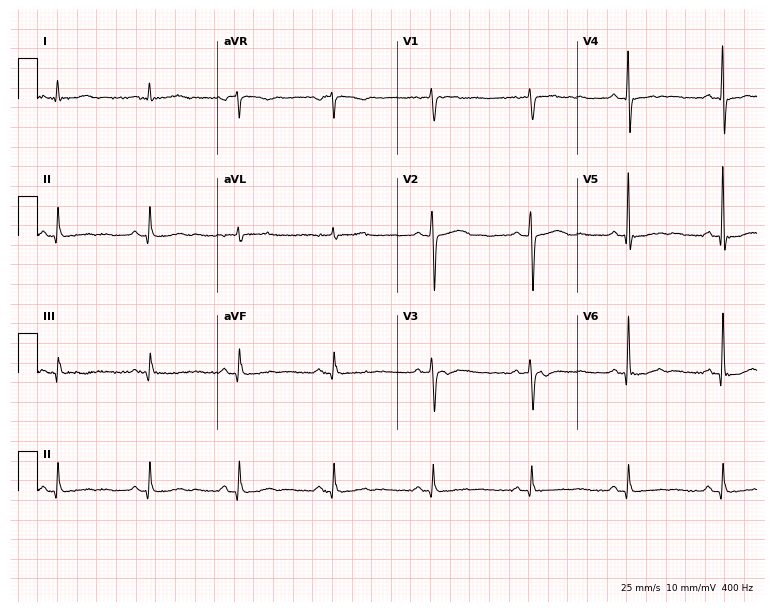
12-lead ECG from a male, 60 years old. Screened for six findings — first-degree AV block, right bundle branch block, left bundle branch block, sinus bradycardia, atrial fibrillation, sinus tachycardia — none is recorded. Findings outside these six are not listed.